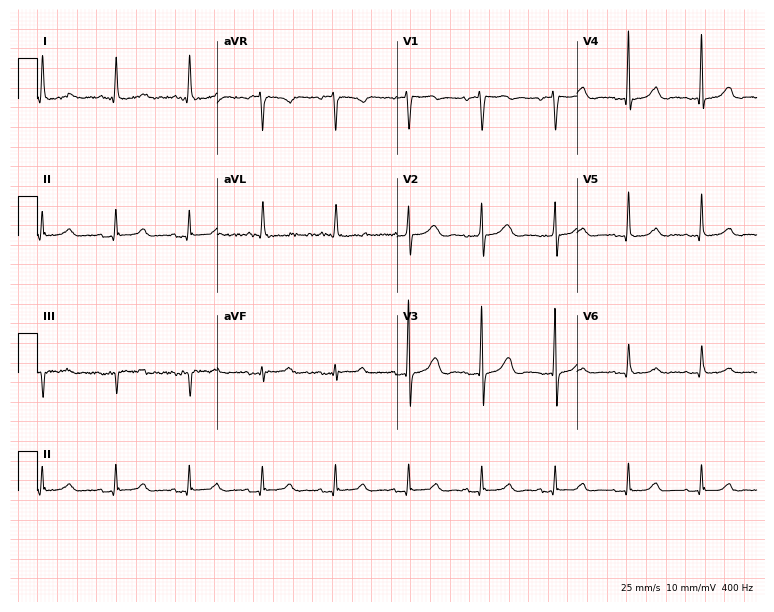
ECG — a female patient, 82 years old. Labelled as a normal ECG.